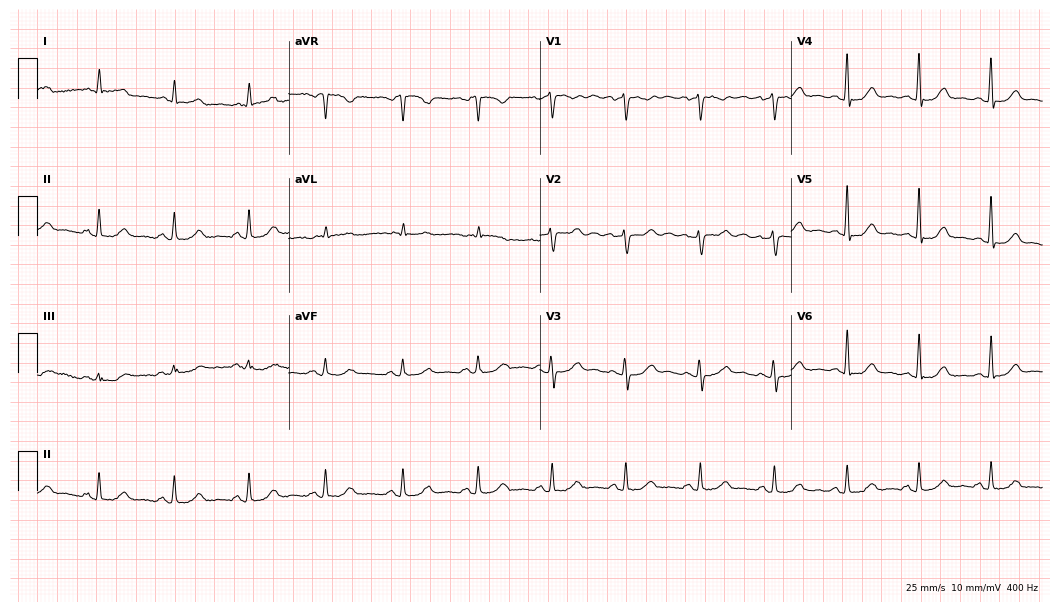
Standard 12-lead ECG recorded from a woman, 51 years old (10.2-second recording at 400 Hz). Read as a normal ECG.